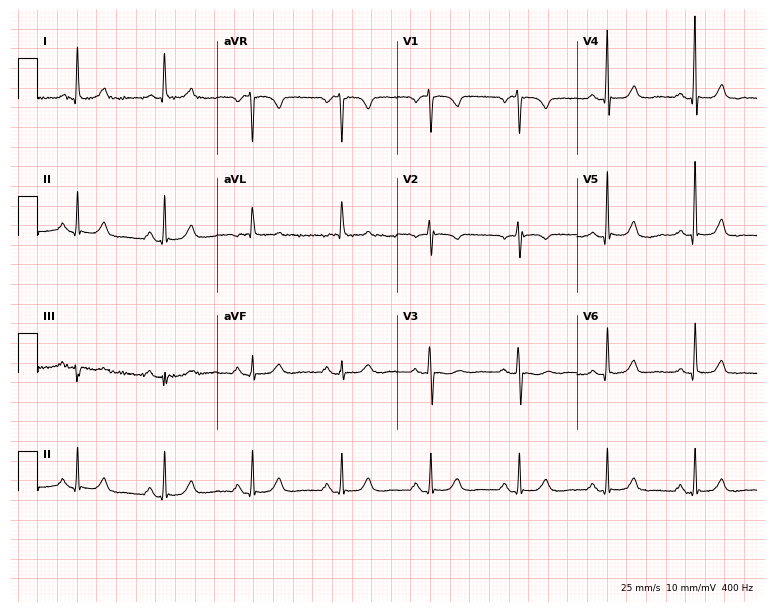
Electrocardiogram, a 69-year-old woman. Overall reading on record: normal ECG.